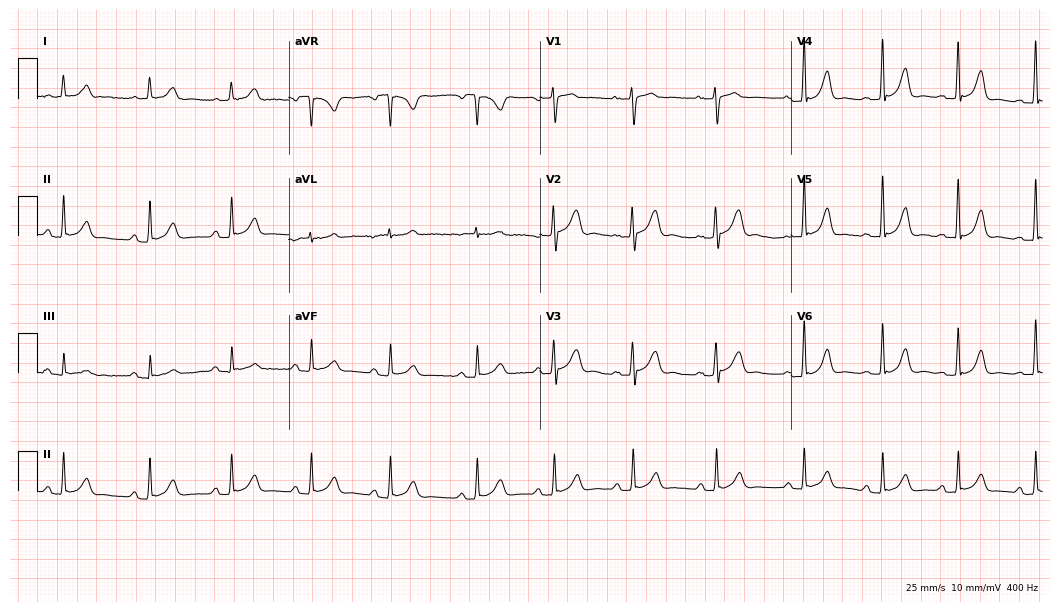
12-lead ECG from a 37-year-old female patient. Recorded interpretation: within normal limits.